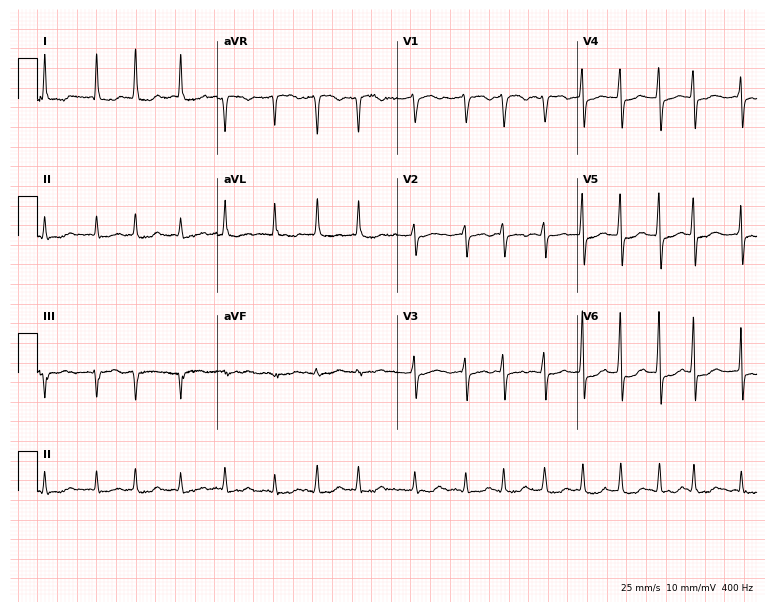
Electrocardiogram, a woman, 68 years old. Interpretation includes atrial fibrillation.